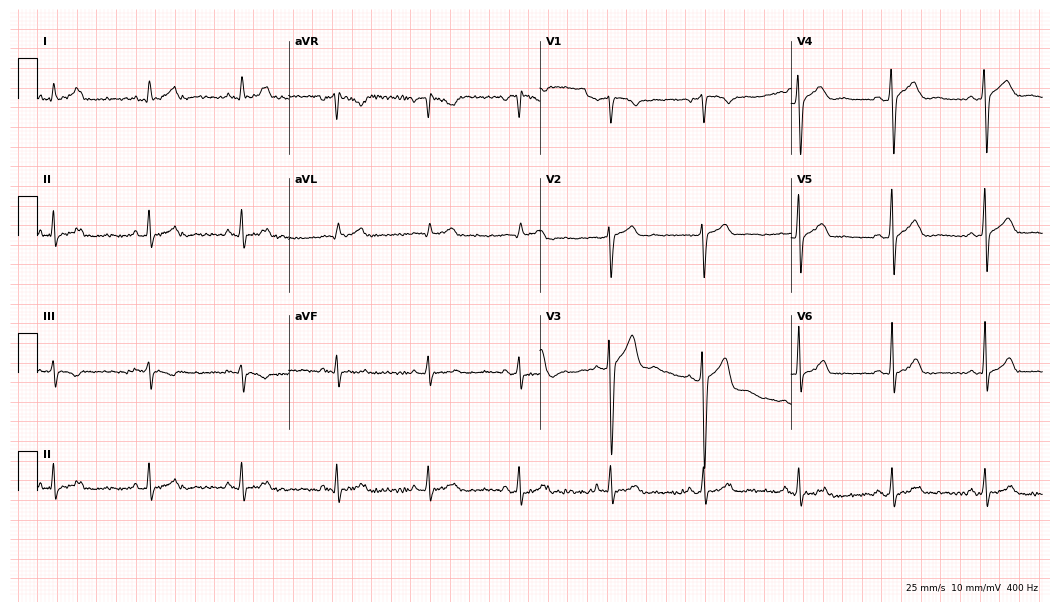
ECG — a man, 46 years old. Screened for six findings — first-degree AV block, right bundle branch block, left bundle branch block, sinus bradycardia, atrial fibrillation, sinus tachycardia — none is recorded. Other findings, if any, are not listed.